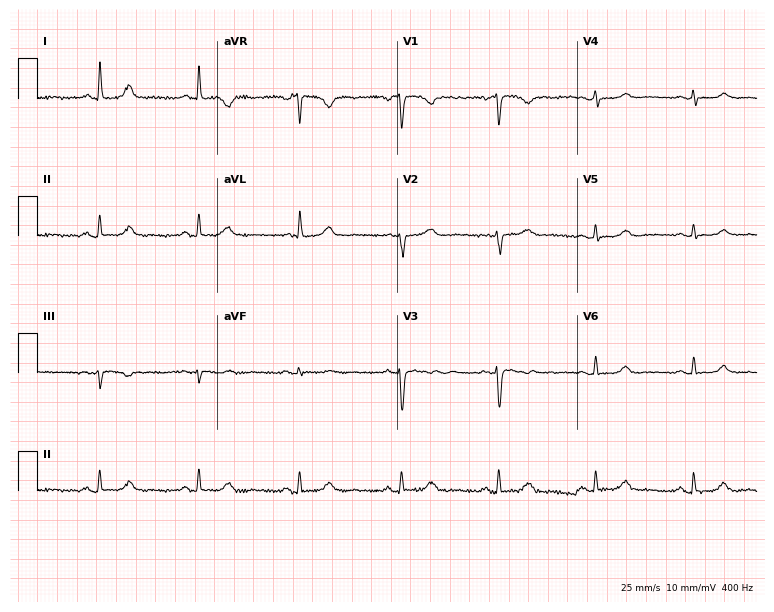
ECG (7.3-second recording at 400 Hz) — a 71-year-old female. Labelled as a normal ECG.